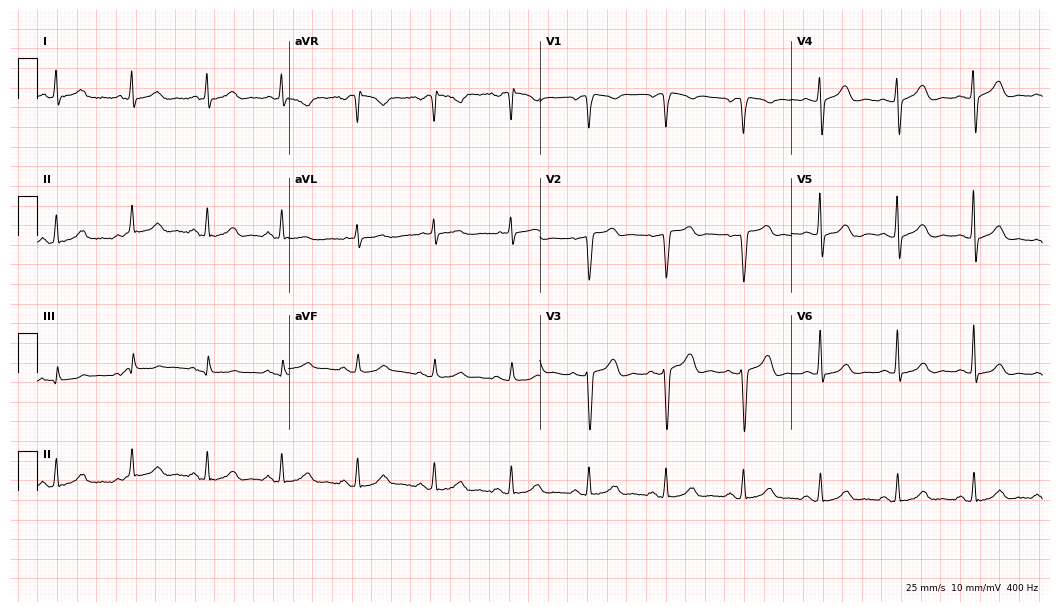
ECG — a 39-year-old male patient. Screened for six findings — first-degree AV block, right bundle branch block, left bundle branch block, sinus bradycardia, atrial fibrillation, sinus tachycardia — none is recorded.